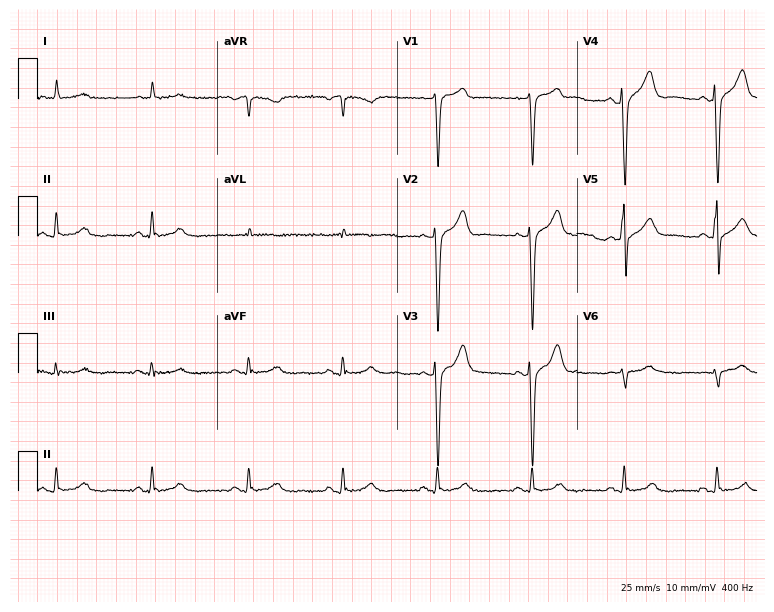
ECG (7.3-second recording at 400 Hz) — a 69-year-old male patient. Labelled as a normal ECG.